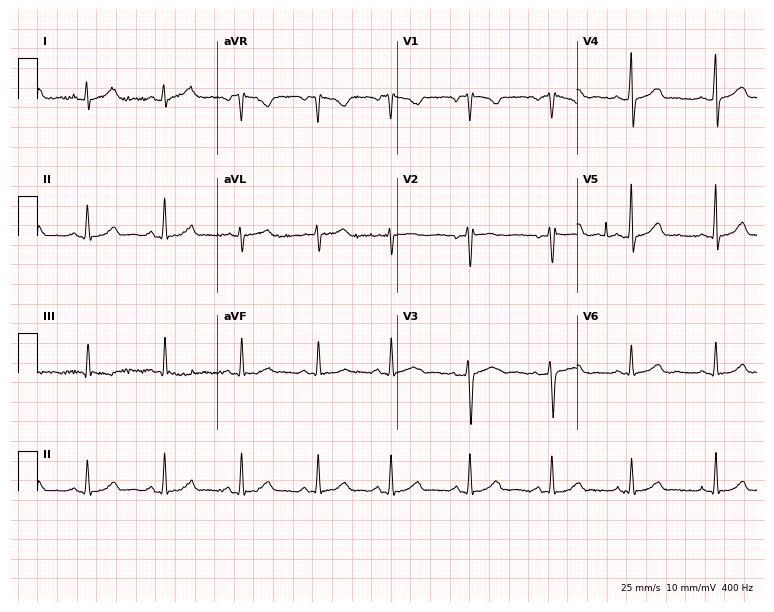
Resting 12-lead electrocardiogram (7.3-second recording at 400 Hz). Patient: a woman, 28 years old. None of these six findings is recorded: first-degree AV block, right bundle branch block (RBBB), left bundle branch block (LBBB), sinus bradycardia, atrial fibrillation (AF), sinus tachycardia.